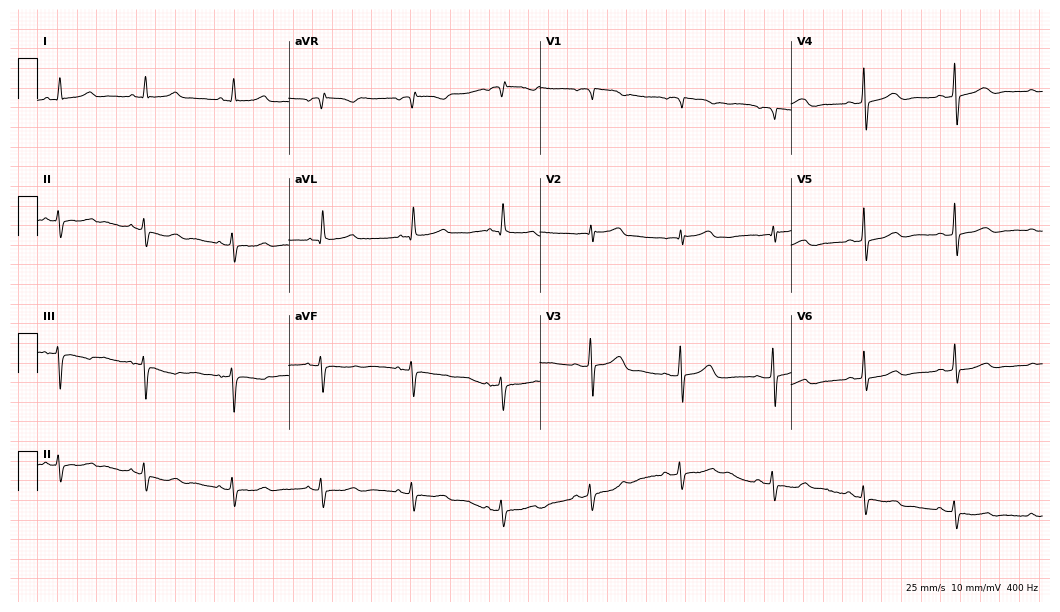
ECG — a 71-year-old female patient. Screened for six findings — first-degree AV block, right bundle branch block, left bundle branch block, sinus bradycardia, atrial fibrillation, sinus tachycardia — none is recorded. Findings outside these six are not listed.